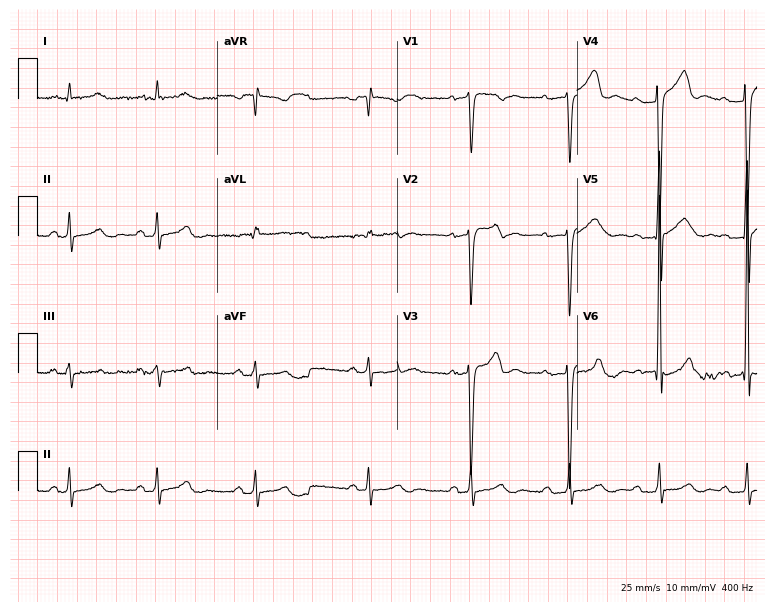
Standard 12-lead ECG recorded from a 48-year-old man. None of these six findings is recorded: first-degree AV block, right bundle branch block, left bundle branch block, sinus bradycardia, atrial fibrillation, sinus tachycardia.